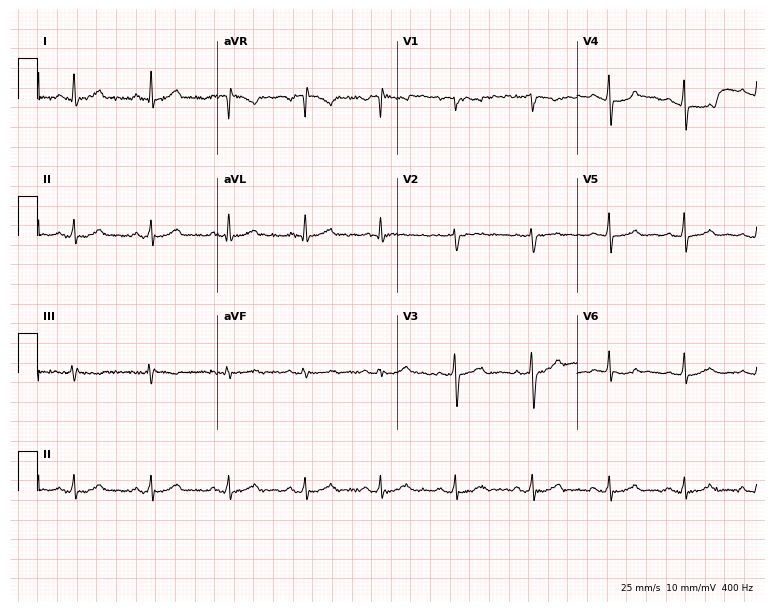
Resting 12-lead electrocardiogram (7.3-second recording at 400 Hz). Patient: a 41-year-old female. Read as a normal ECG.